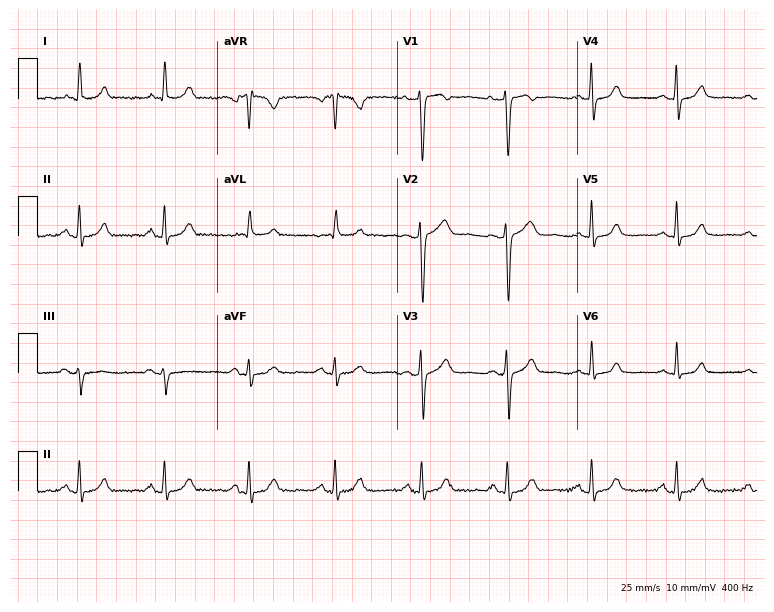
Standard 12-lead ECG recorded from a 53-year-old female patient. Read as a normal ECG.